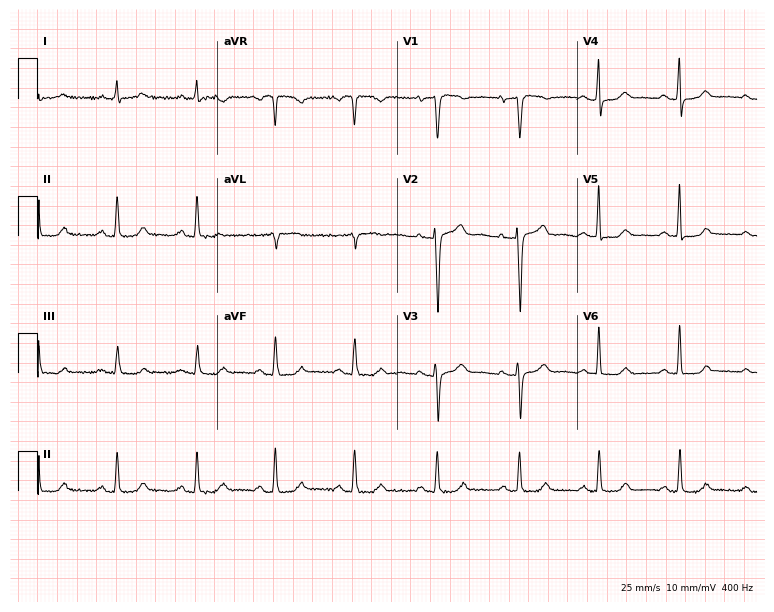
Electrocardiogram, a female patient, 59 years old. Of the six screened findings (first-degree AV block, right bundle branch block, left bundle branch block, sinus bradycardia, atrial fibrillation, sinus tachycardia), none is recorded. Only these six findings were labelled.